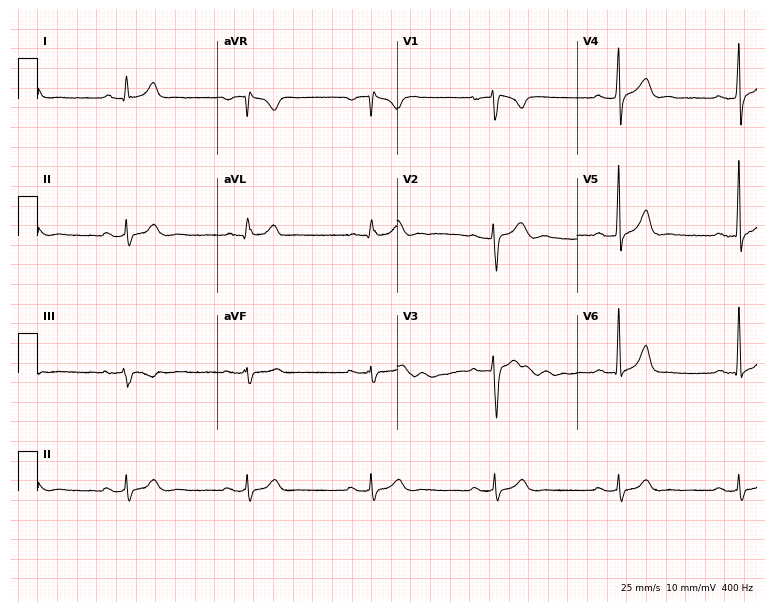
12-lead ECG from a 49-year-old male patient. Screened for six findings — first-degree AV block, right bundle branch block, left bundle branch block, sinus bradycardia, atrial fibrillation, sinus tachycardia — none is recorded.